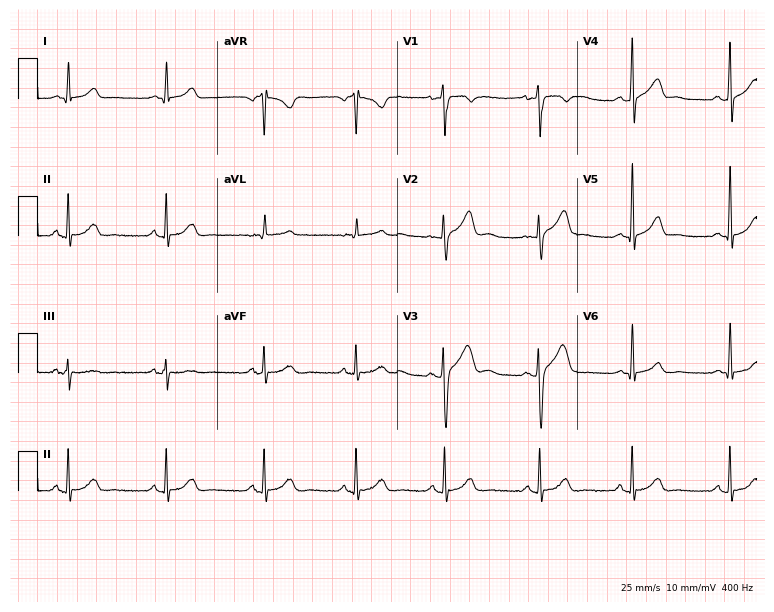
Resting 12-lead electrocardiogram. Patient: a male, 22 years old. None of these six findings is recorded: first-degree AV block, right bundle branch block, left bundle branch block, sinus bradycardia, atrial fibrillation, sinus tachycardia.